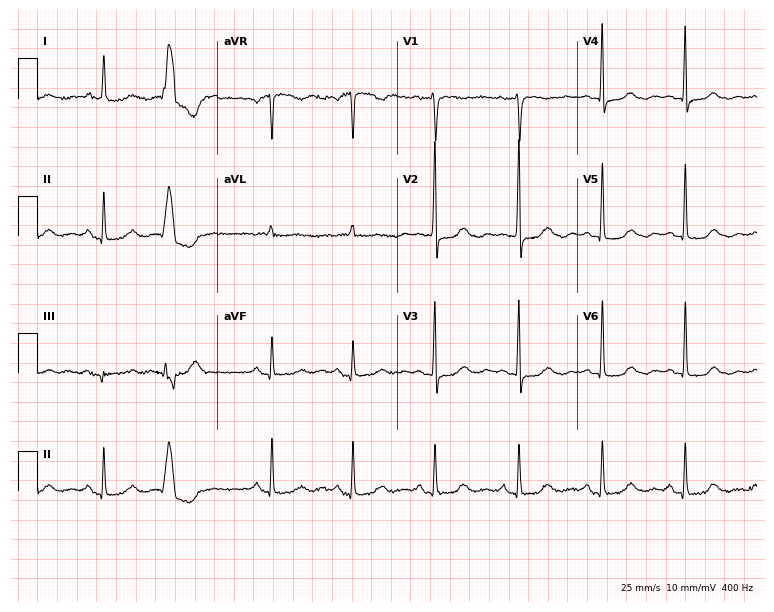
12-lead ECG from a 79-year-old woman. No first-degree AV block, right bundle branch block, left bundle branch block, sinus bradycardia, atrial fibrillation or sinus tachycardia recorded for this tracing.